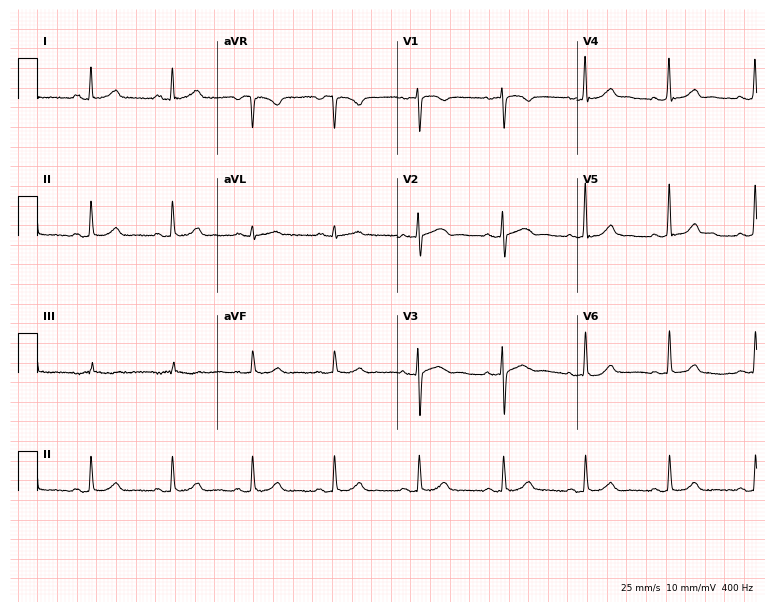
12-lead ECG from a 51-year-old woman. Recorded interpretation: within normal limits.